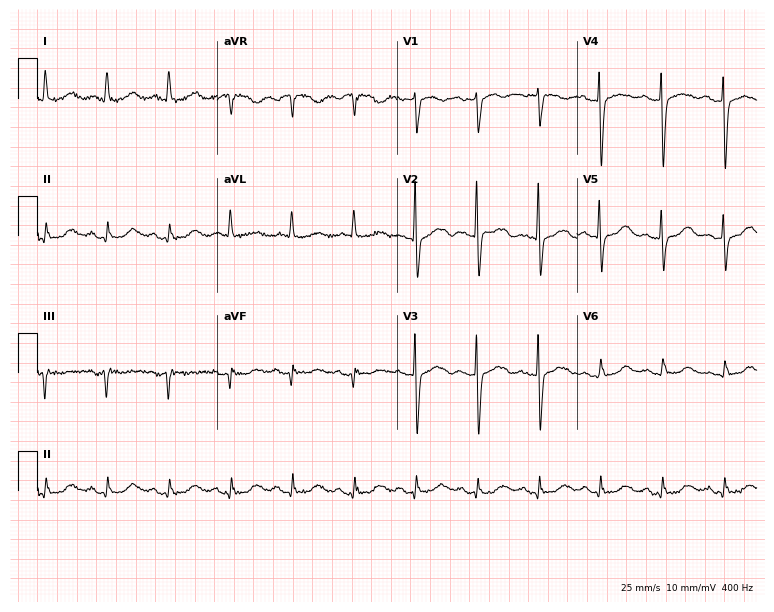
Electrocardiogram (7.3-second recording at 400 Hz), a 79-year-old female. Of the six screened findings (first-degree AV block, right bundle branch block, left bundle branch block, sinus bradycardia, atrial fibrillation, sinus tachycardia), none is recorded. Findings outside these six are not listed.